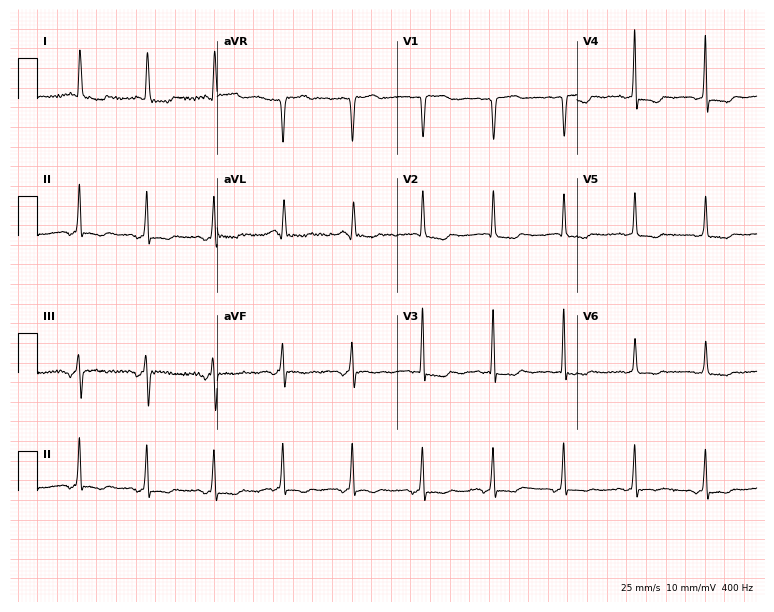
Electrocardiogram (7.3-second recording at 400 Hz), an 80-year-old female. Of the six screened findings (first-degree AV block, right bundle branch block (RBBB), left bundle branch block (LBBB), sinus bradycardia, atrial fibrillation (AF), sinus tachycardia), none is recorded.